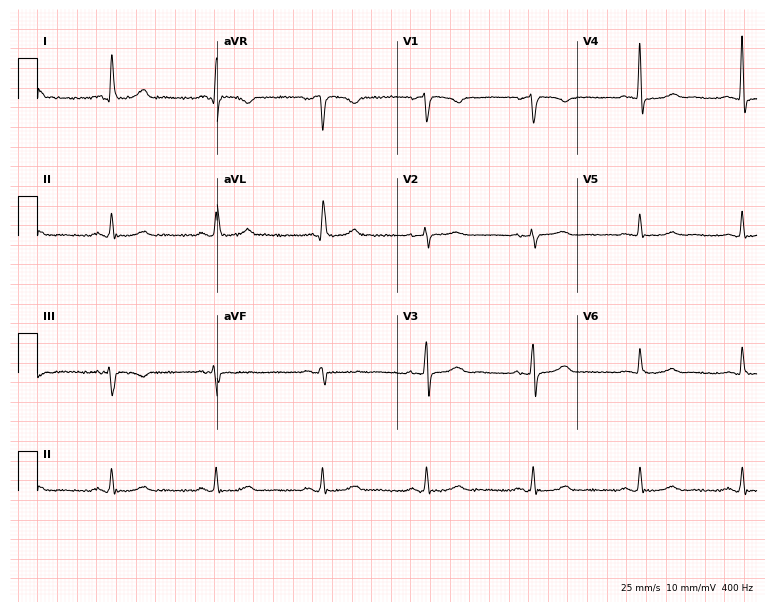
12-lead ECG from a 52-year-old woman (7.3-second recording at 400 Hz). No first-degree AV block, right bundle branch block (RBBB), left bundle branch block (LBBB), sinus bradycardia, atrial fibrillation (AF) or sinus tachycardia recorded for this tracing.